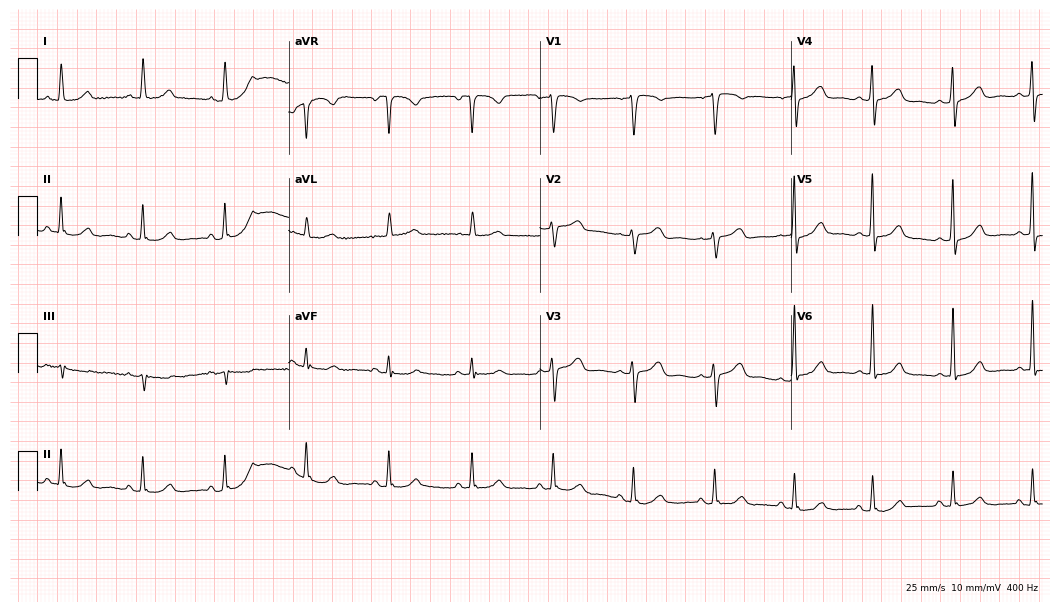
12-lead ECG from a 61-year-old female. Recorded interpretation: within normal limits.